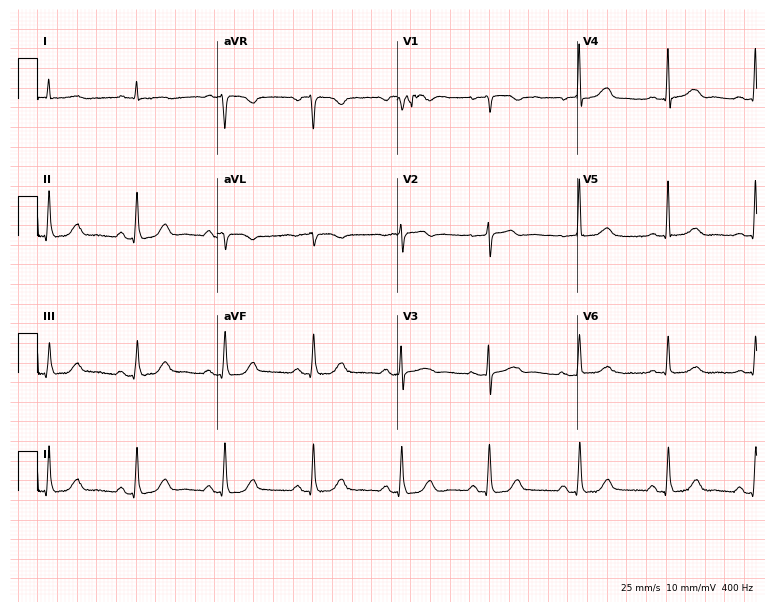
Resting 12-lead electrocardiogram. Patient: a 79-year-old female. Read as a normal ECG.